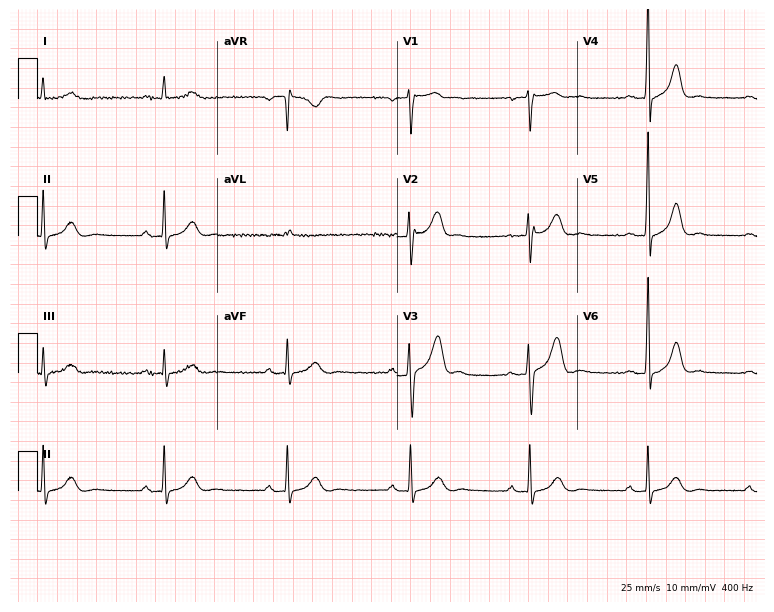
ECG (7.3-second recording at 400 Hz) — a male patient, 58 years old. Findings include sinus bradycardia (a sinus rate of 50 beats per minute or less).